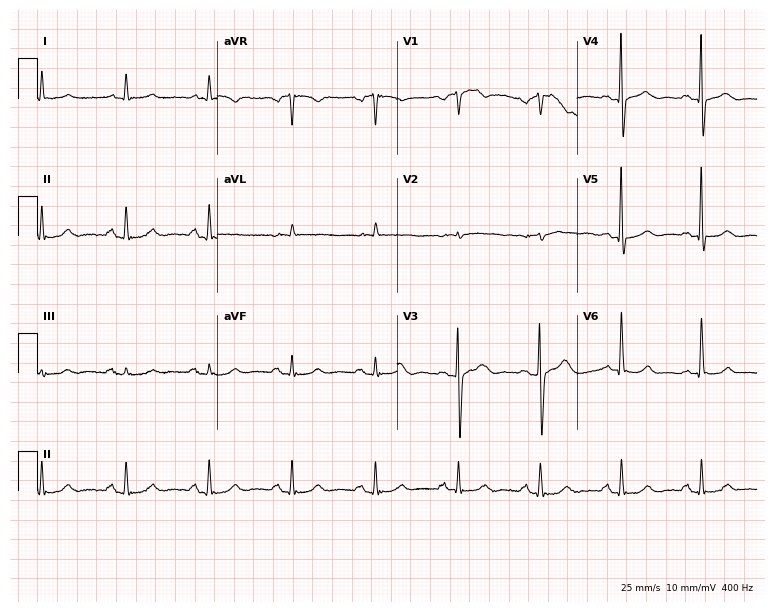
12-lead ECG from a male patient, 82 years old. Labelled as a normal ECG.